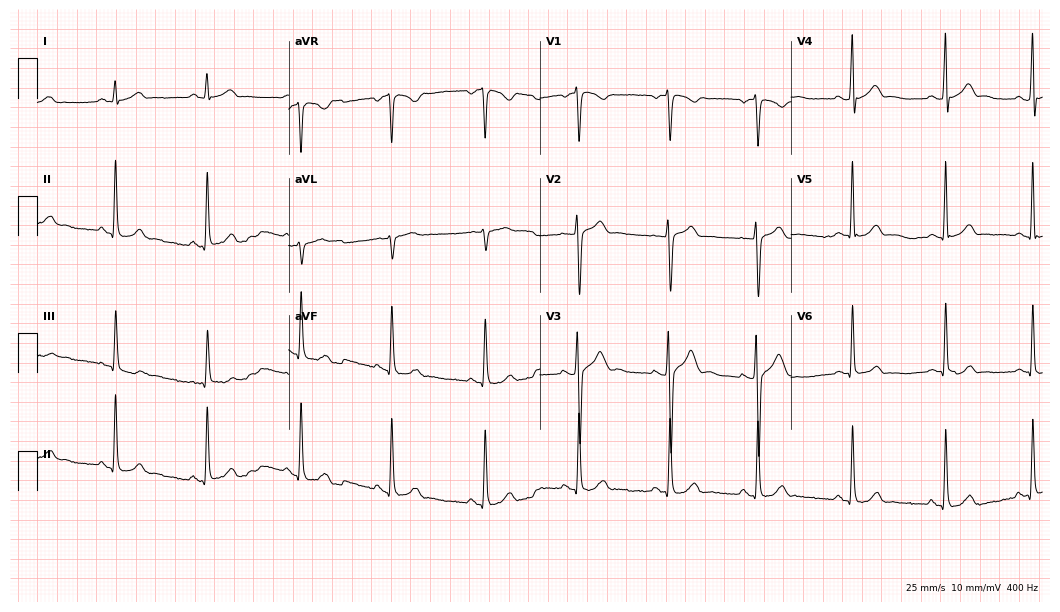
Standard 12-lead ECG recorded from a 25-year-old male patient (10.2-second recording at 400 Hz). Read as a normal ECG.